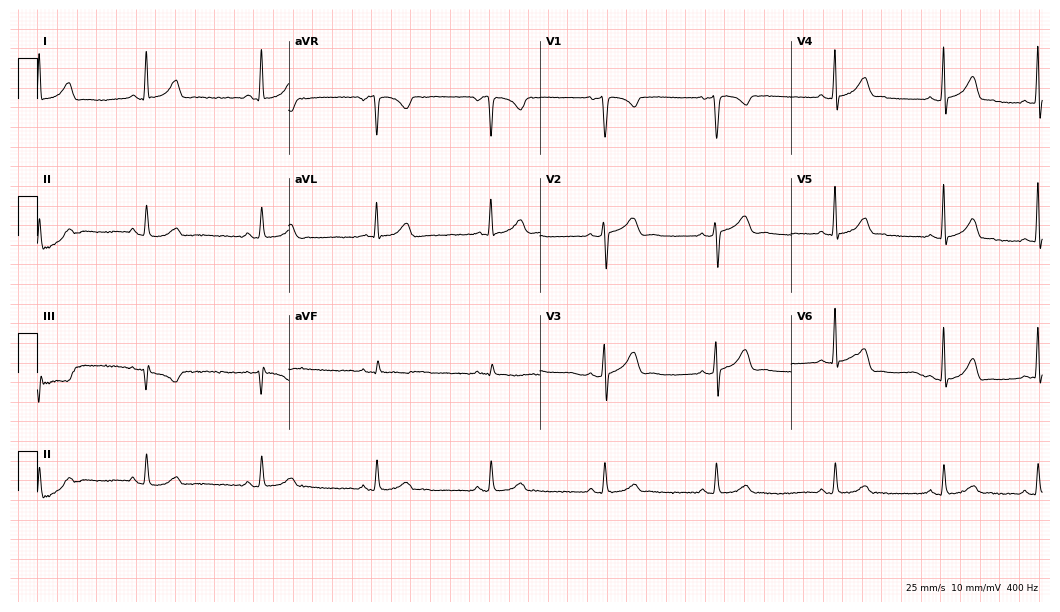
12-lead ECG from a 31-year-old woman (10.2-second recording at 400 Hz). Recorded interpretation: within normal limits.